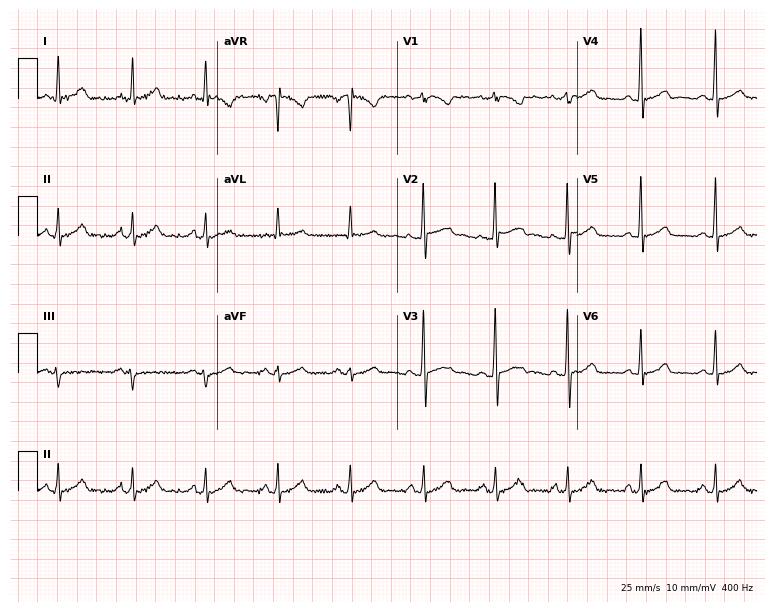
12-lead ECG from a 52-year-old male patient. Labelled as a normal ECG.